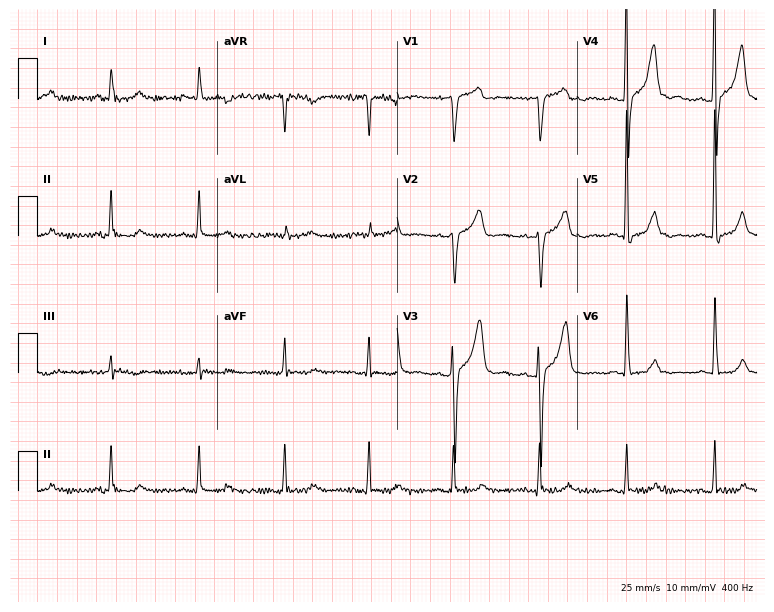
Resting 12-lead electrocardiogram (7.3-second recording at 400 Hz). Patient: a 69-year-old man. Read as a normal ECG.